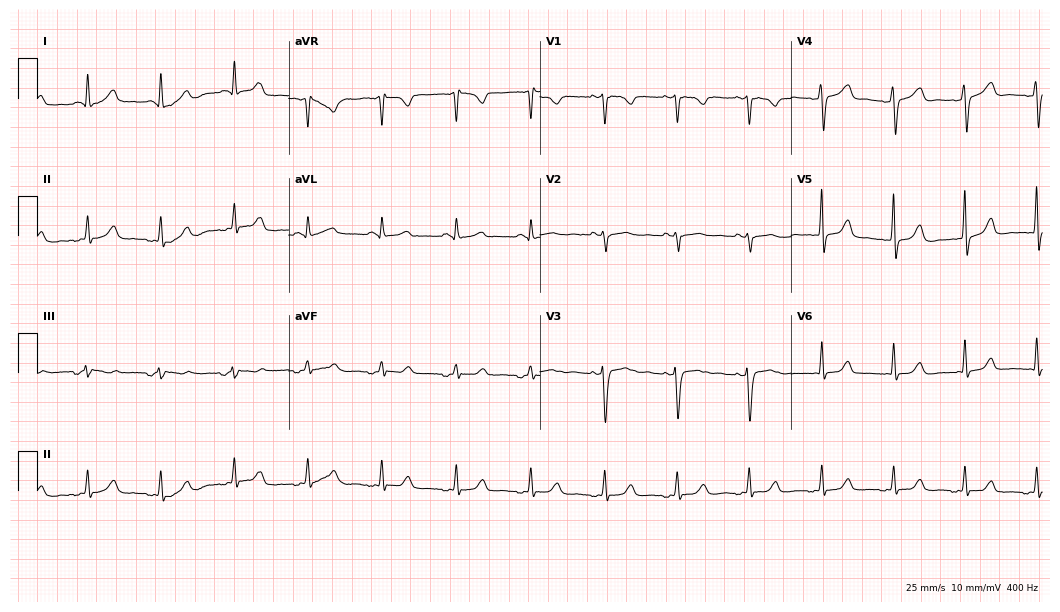
Electrocardiogram, a 39-year-old female patient. Of the six screened findings (first-degree AV block, right bundle branch block (RBBB), left bundle branch block (LBBB), sinus bradycardia, atrial fibrillation (AF), sinus tachycardia), none is recorded.